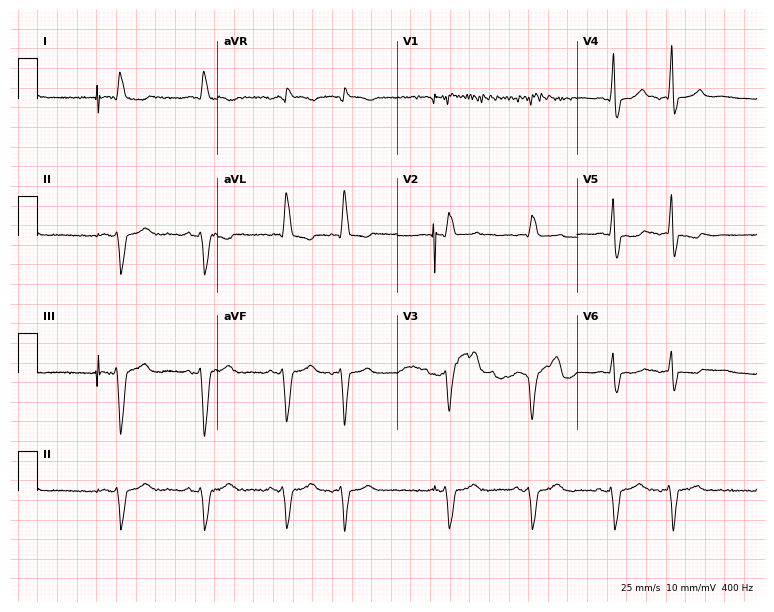
ECG — an 86-year-old male. Screened for six findings — first-degree AV block, right bundle branch block, left bundle branch block, sinus bradycardia, atrial fibrillation, sinus tachycardia — none is recorded. Findings outside these six are not listed.